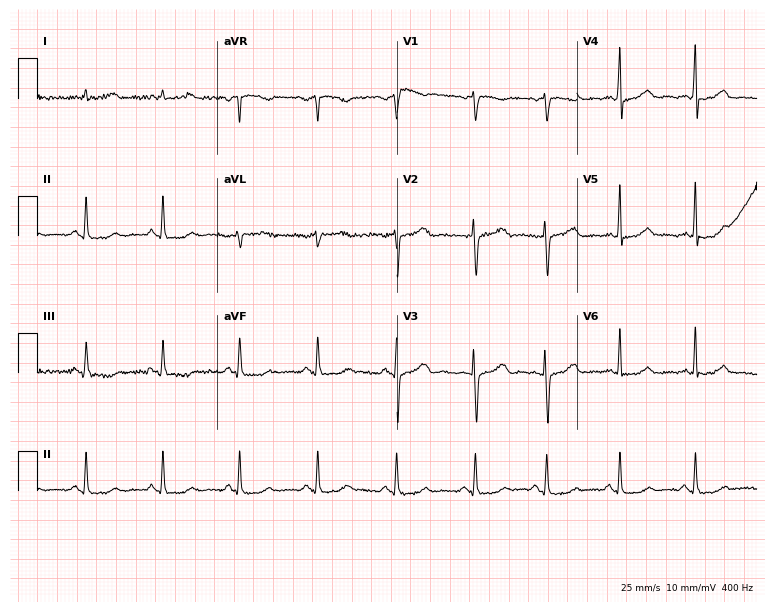
12-lead ECG from a female, 42 years old (7.3-second recording at 400 Hz). Recorded interpretation: within normal limits.